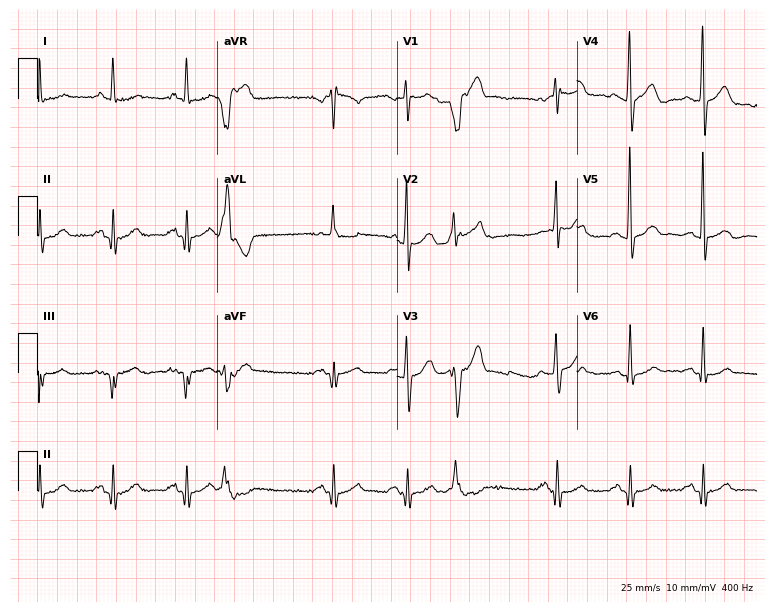
ECG (7.3-second recording at 400 Hz) — a 69-year-old male patient. Labelled as a normal ECG.